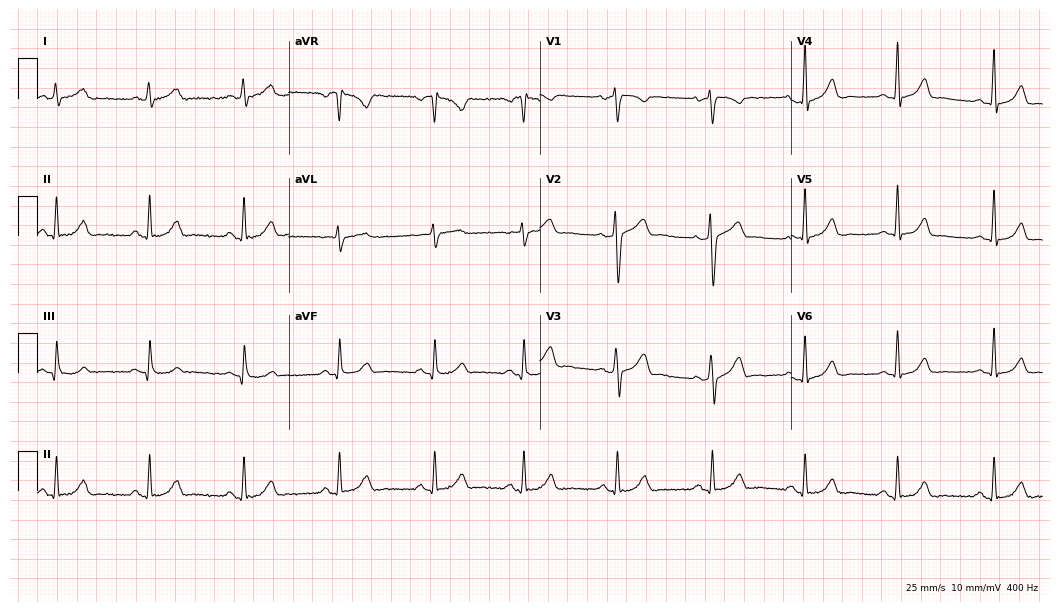
ECG — a female, 35 years old. Screened for six findings — first-degree AV block, right bundle branch block (RBBB), left bundle branch block (LBBB), sinus bradycardia, atrial fibrillation (AF), sinus tachycardia — none is recorded.